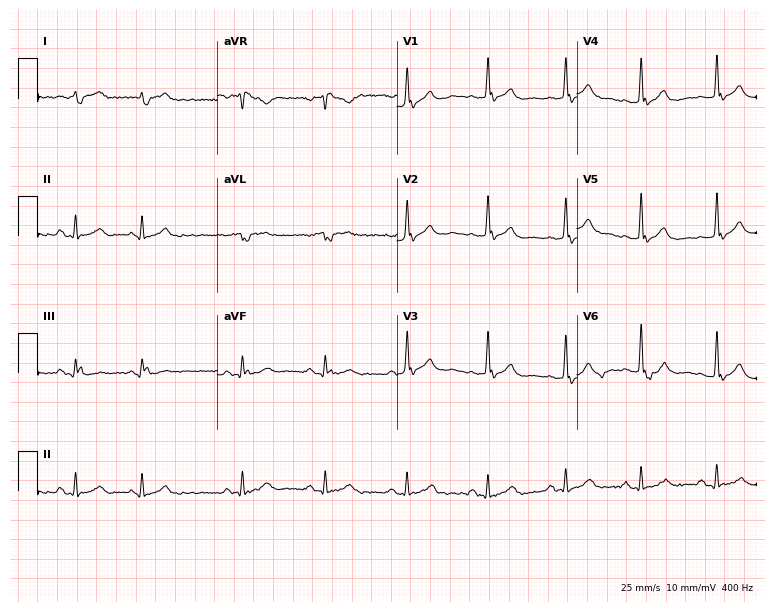
12-lead ECG from a man, 82 years old. No first-degree AV block, right bundle branch block, left bundle branch block, sinus bradycardia, atrial fibrillation or sinus tachycardia recorded for this tracing. Findings outside these six are not listed.